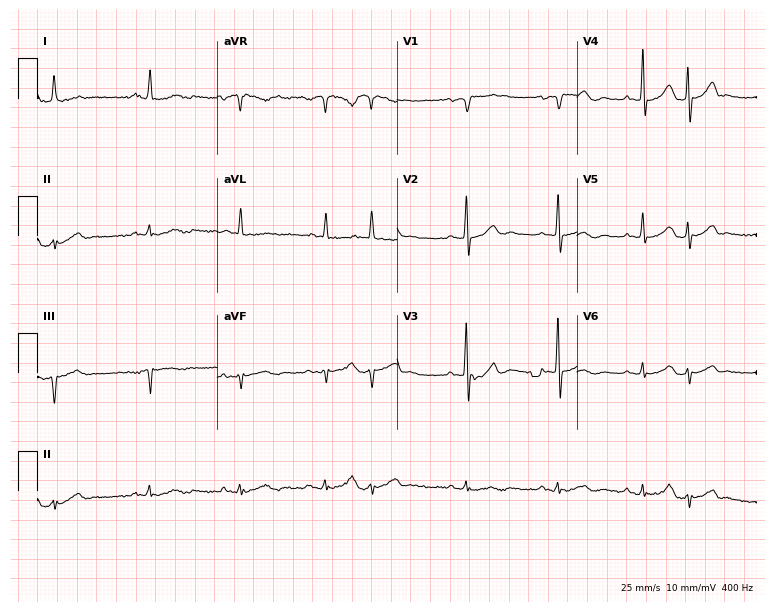
Resting 12-lead electrocardiogram (7.3-second recording at 400 Hz). Patient: a 69-year-old male. None of these six findings is recorded: first-degree AV block, right bundle branch block, left bundle branch block, sinus bradycardia, atrial fibrillation, sinus tachycardia.